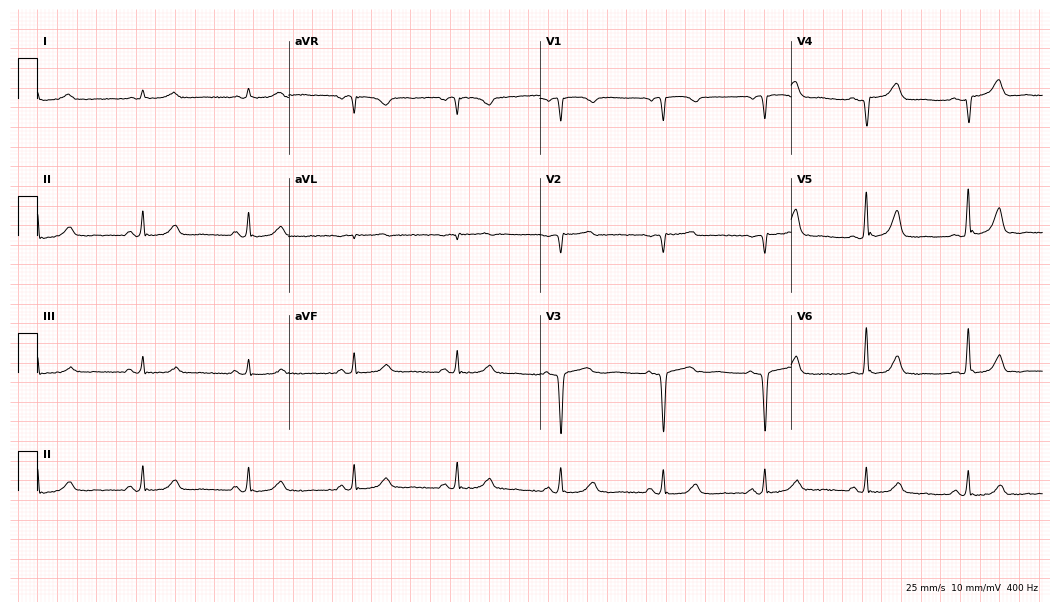
12-lead ECG from a 68-year-old woman. No first-degree AV block, right bundle branch block (RBBB), left bundle branch block (LBBB), sinus bradycardia, atrial fibrillation (AF) or sinus tachycardia recorded for this tracing. Other findings, if any, are not listed.